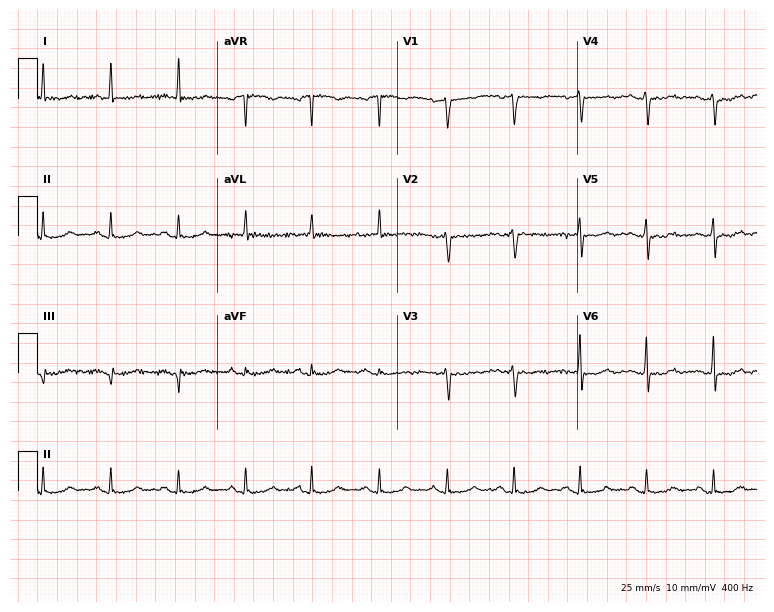
Electrocardiogram (7.3-second recording at 400 Hz), a female patient, 83 years old. Of the six screened findings (first-degree AV block, right bundle branch block (RBBB), left bundle branch block (LBBB), sinus bradycardia, atrial fibrillation (AF), sinus tachycardia), none is recorded. Other findings, if any, are not listed.